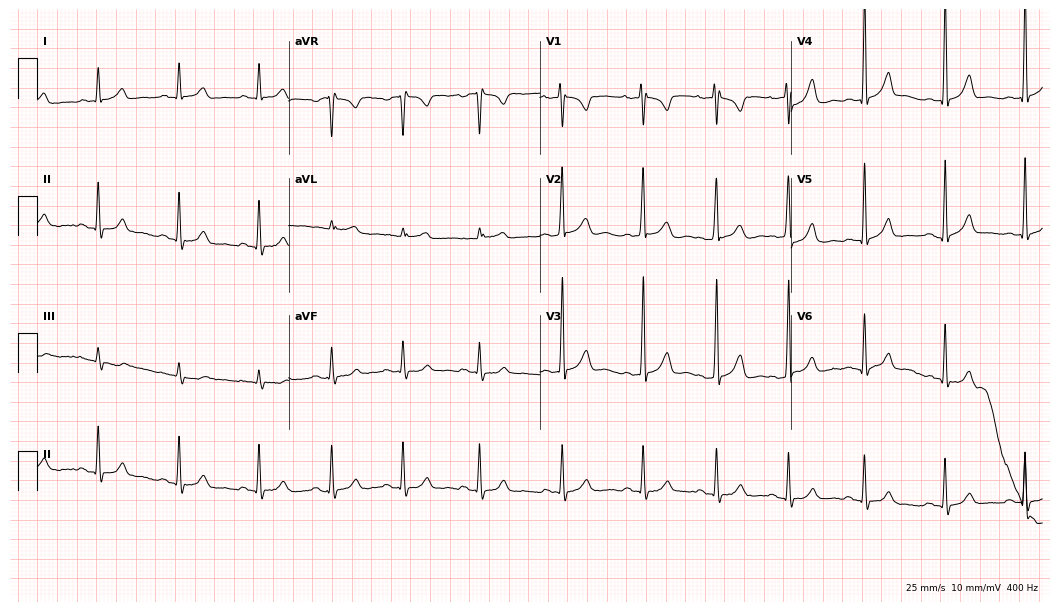
Resting 12-lead electrocardiogram. Patient: a 27-year-old female. Read as a normal ECG.